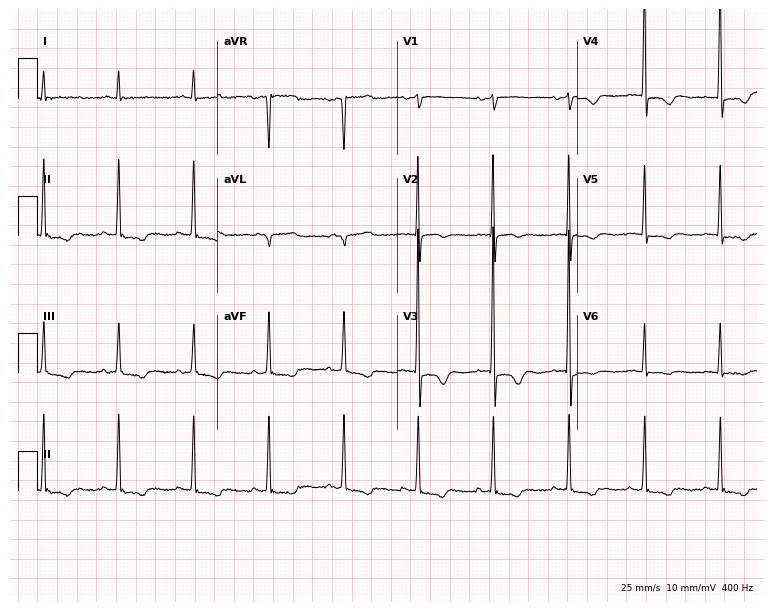
Electrocardiogram (7.3-second recording at 400 Hz), an 85-year-old female patient. Of the six screened findings (first-degree AV block, right bundle branch block, left bundle branch block, sinus bradycardia, atrial fibrillation, sinus tachycardia), none is recorded. Only these six findings were labelled.